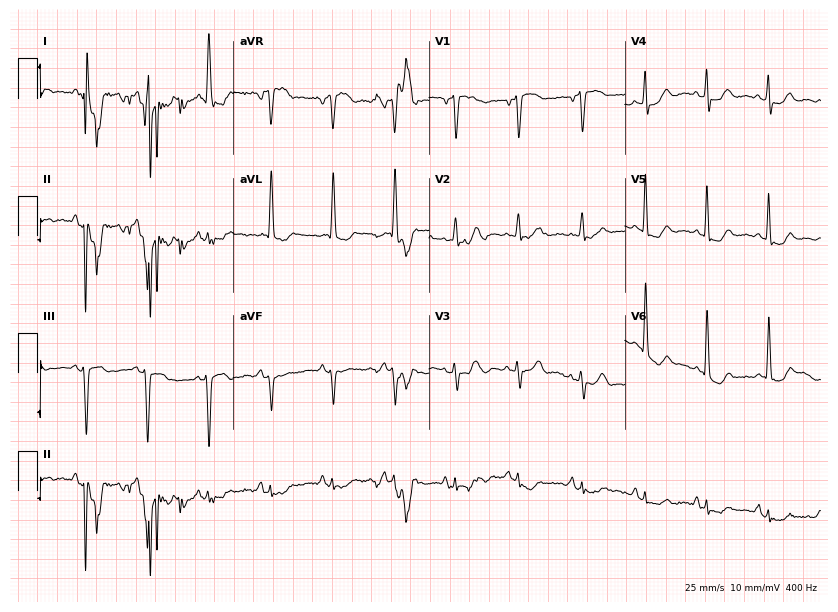
12-lead ECG (8-second recording at 400 Hz) from a female, 78 years old. Screened for six findings — first-degree AV block, right bundle branch block (RBBB), left bundle branch block (LBBB), sinus bradycardia, atrial fibrillation (AF), sinus tachycardia — none is recorded.